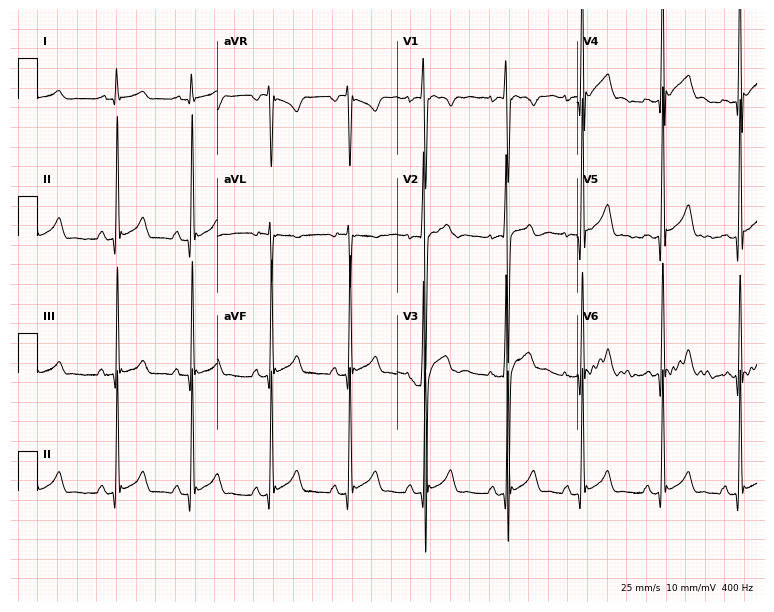
Resting 12-lead electrocardiogram (7.3-second recording at 400 Hz). Patient: a man, 17 years old. Read as a normal ECG.